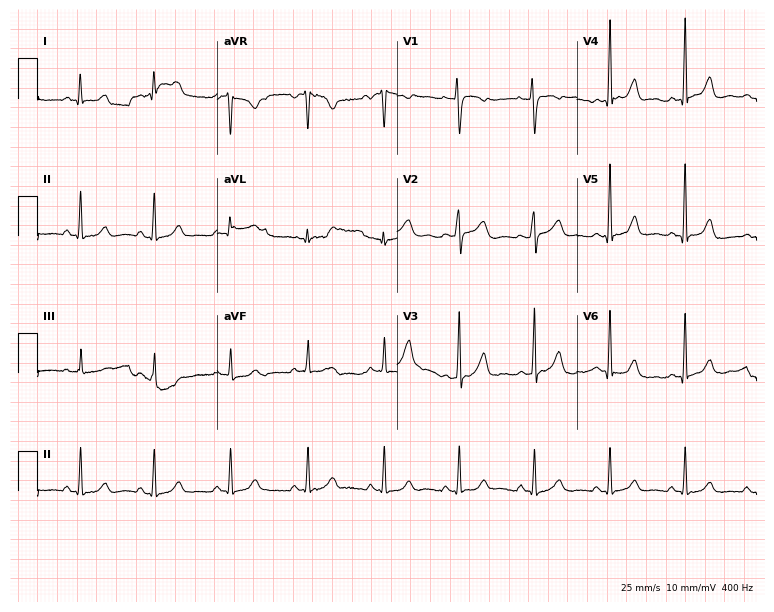
Standard 12-lead ECG recorded from a female, 48 years old (7.3-second recording at 400 Hz). Read as a normal ECG.